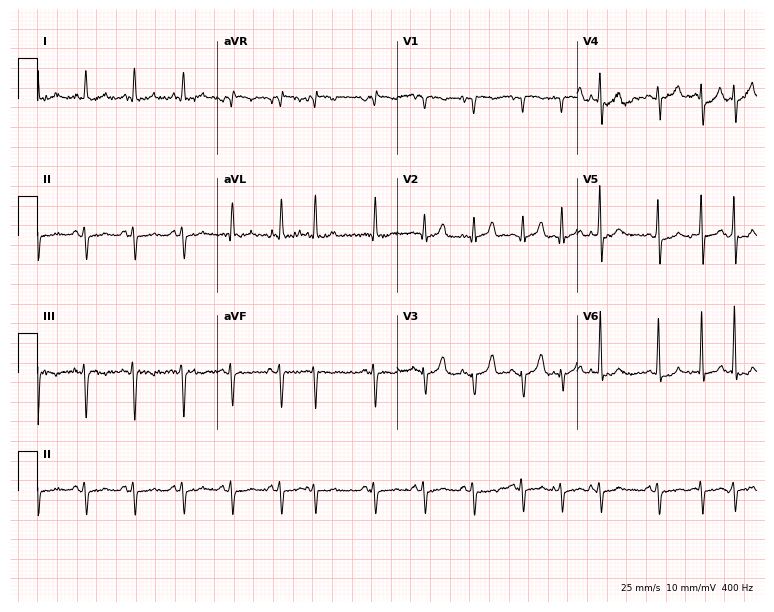
12-lead ECG from a man, 82 years old (7.3-second recording at 400 Hz). Shows sinus tachycardia (a sinus rate of 100 beats per minute or more).